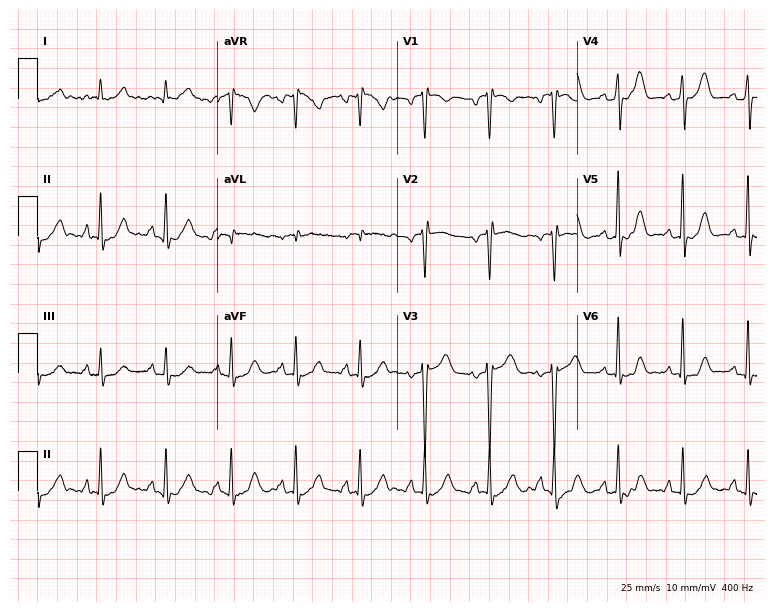
Electrocardiogram (7.3-second recording at 400 Hz), a 73-year-old female patient. Of the six screened findings (first-degree AV block, right bundle branch block (RBBB), left bundle branch block (LBBB), sinus bradycardia, atrial fibrillation (AF), sinus tachycardia), none is recorded. Only these six findings were labelled.